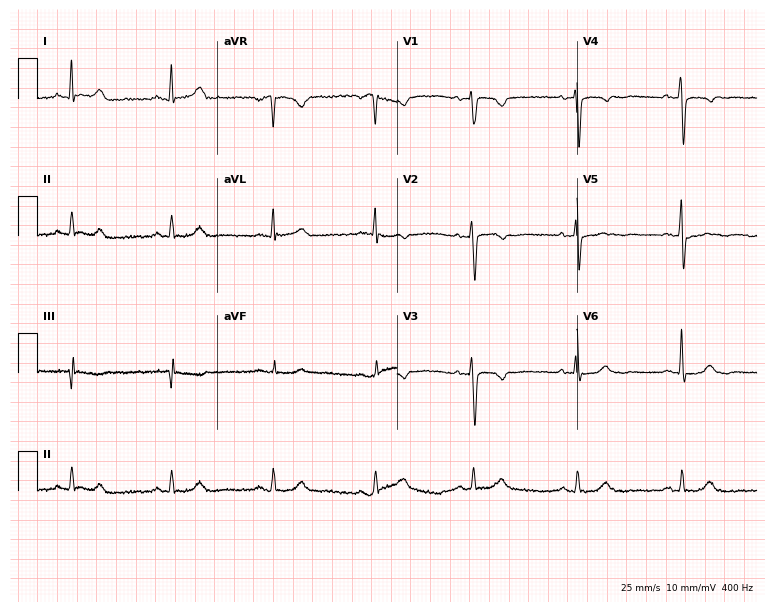
Electrocardiogram, a female, 54 years old. Of the six screened findings (first-degree AV block, right bundle branch block (RBBB), left bundle branch block (LBBB), sinus bradycardia, atrial fibrillation (AF), sinus tachycardia), none is recorded. Only these six findings were labelled.